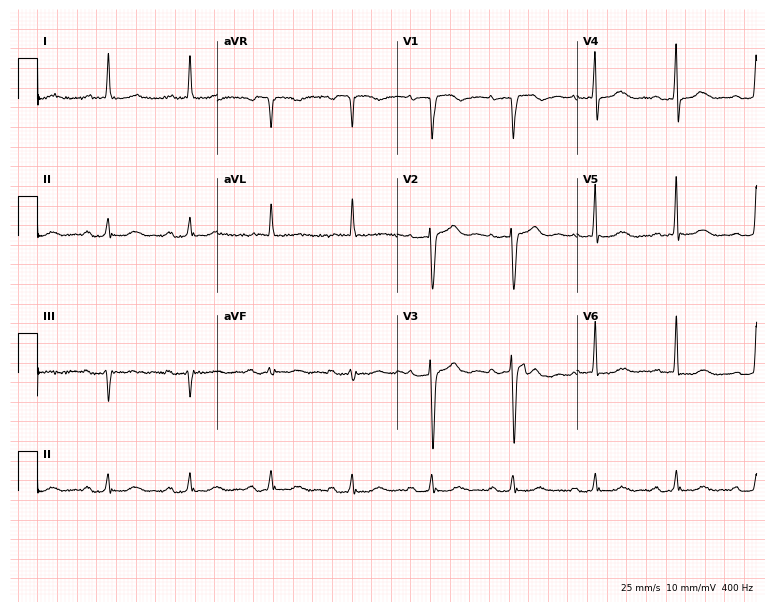
Resting 12-lead electrocardiogram. Patient: a 77-year-old female. Read as a normal ECG.